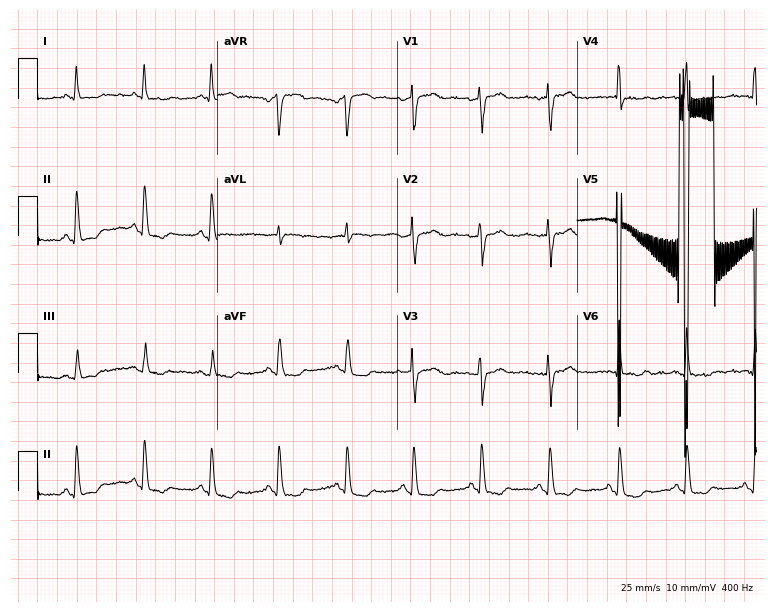
12-lead ECG from a 50-year-old female. Screened for six findings — first-degree AV block, right bundle branch block, left bundle branch block, sinus bradycardia, atrial fibrillation, sinus tachycardia — none is recorded. Findings outside these six are not listed.